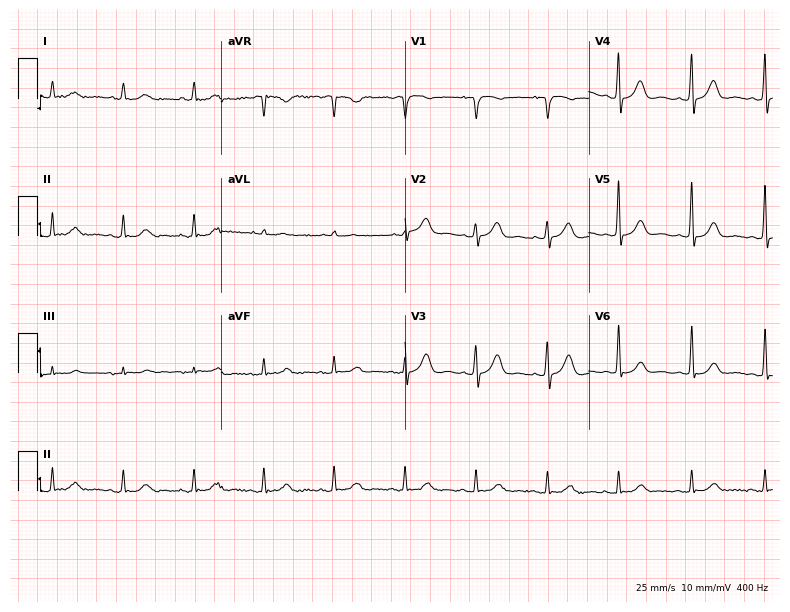
12-lead ECG from an 82-year-old male. No first-degree AV block, right bundle branch block, left bundle branch block, sinus bradycardia, atrial fibrillation or sinus tachycardia recorded for this tracing. Other findings, if any, are not listed.